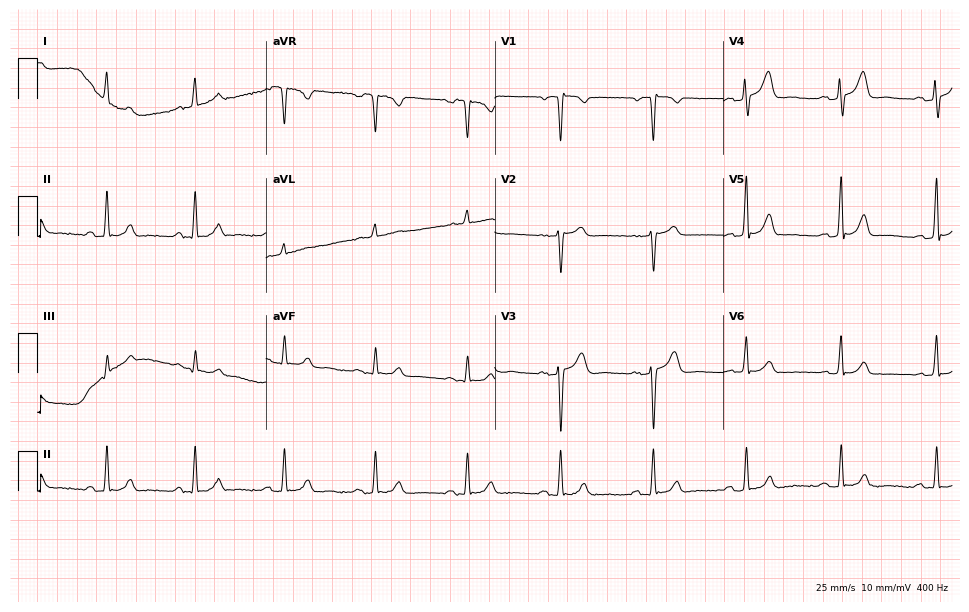
Electrocardiogram (9.3-second recording at 400 Hz), a man, 58 years old. Overall reading on record: normal ECG.